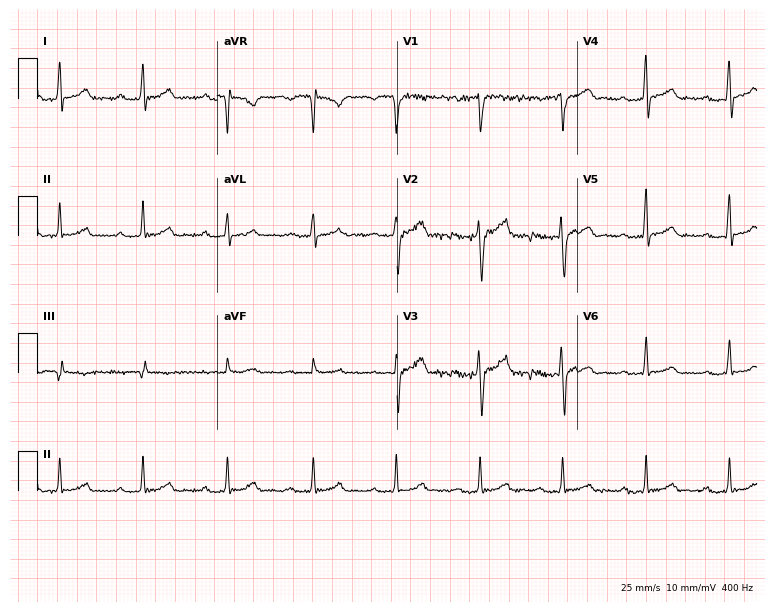
ECG (7.3-second recording at 400 Hz) — a 28-year-old man. Labelled as a normal ECG.